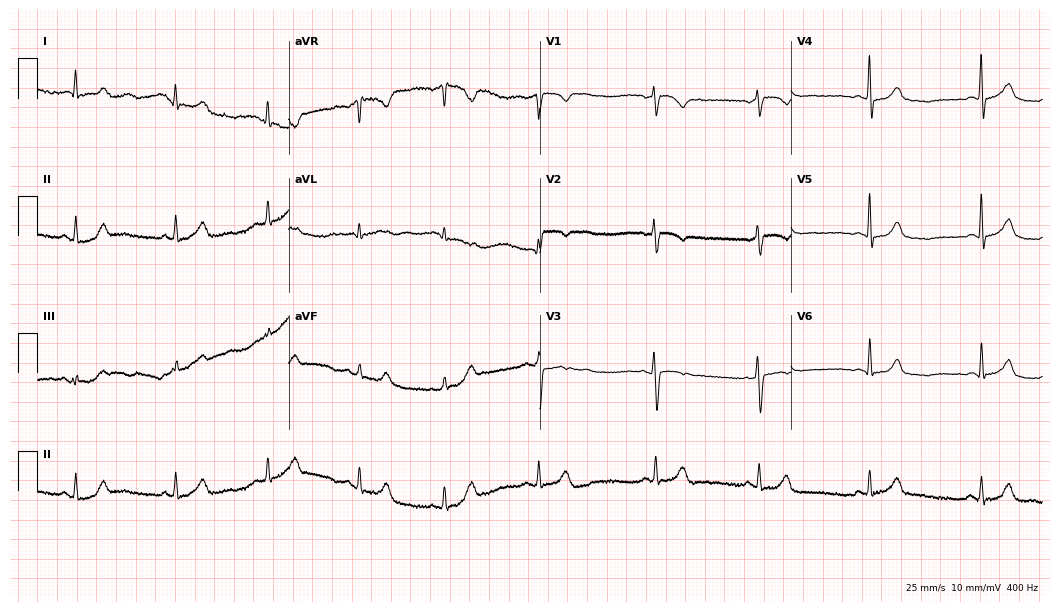
Electrocardiogram, a female patient, 31 years old. Of the six screened findings (first-degree AV block, right bundle branch block, left bundle branch block, sinus bradycardia, atrial fibrillation, sinus tachycardia), none is recorded. Other findings, if any, are not listed.